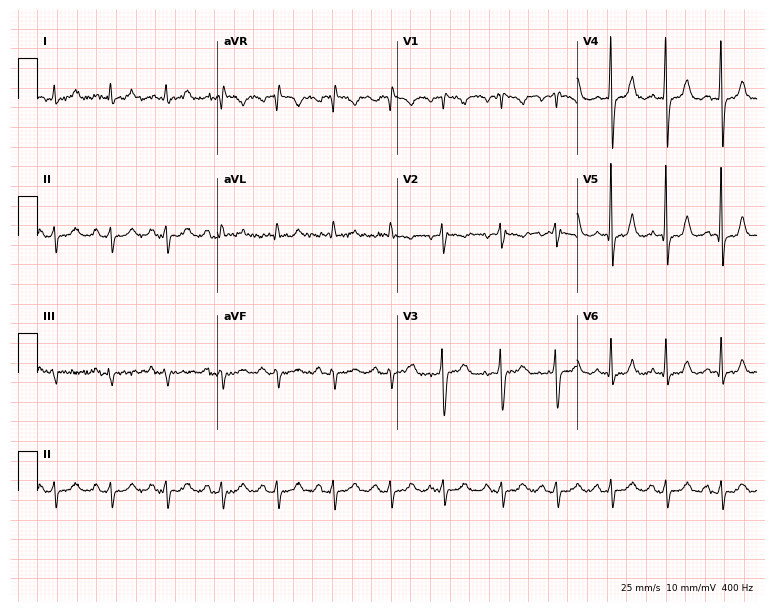
12-lead ECG from a male, 42 years old. Shows sinus tachycardia (a sinus rate of 100 beats per minute or more).